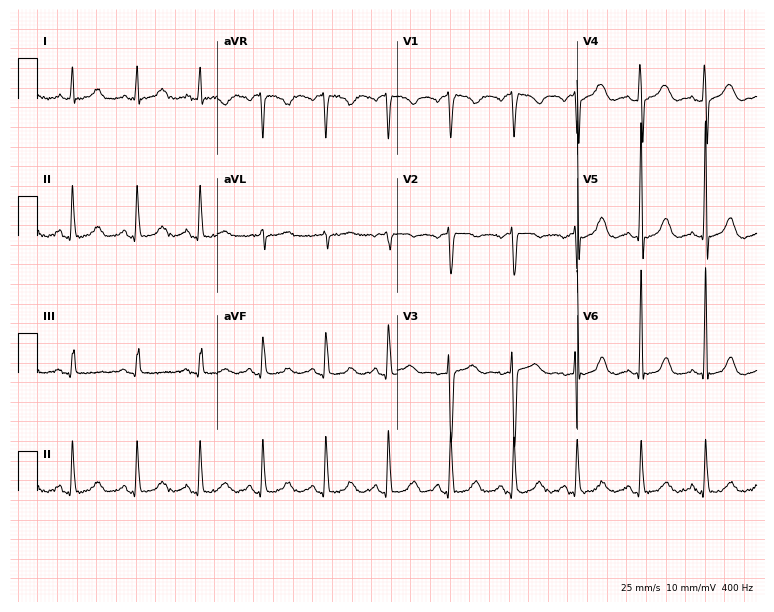
Electrocardiogram, a woman, 49 years old. Of the six screened findings (first-degree AV block, right bundle branch block, left bundle branch block, sinus bradycardia, atrial fibrillation, sinus tachycardia), none is recorded. Findings outside these six are not listed.